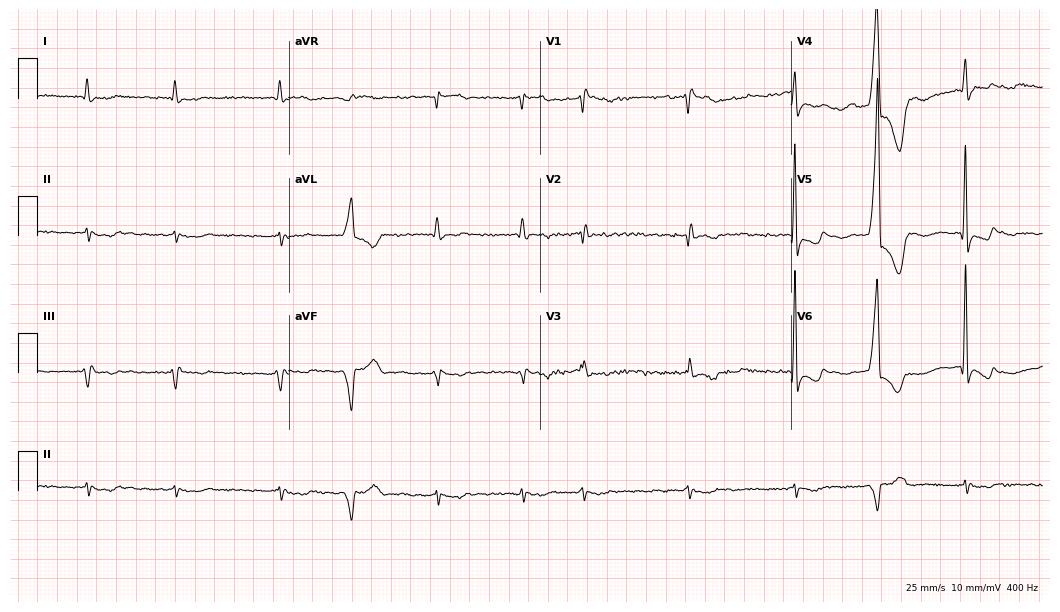
Standard 12-lead ECG recorded from a male, 85 years old. The tracing shows right bundle branch block, atrial fibrillation.